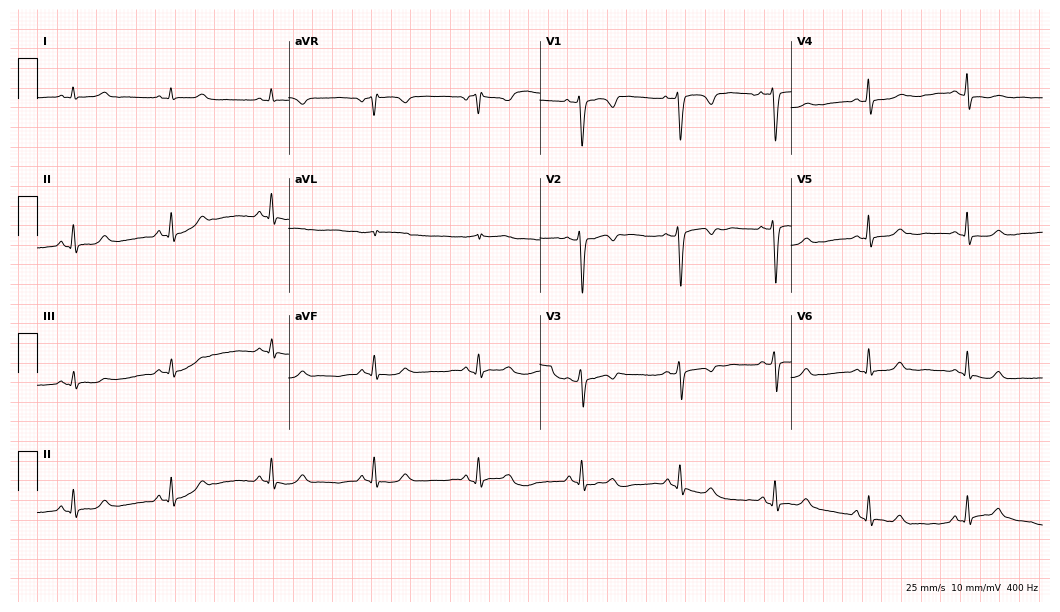
ECG (10.2-second recording at 400 Hz) — a woman, 69 years old. Screened for six findings — first-degree AV block, right bundle branch block (RBBB), left bundle branch block (LBBB), sinus bradycardia, atrial fibrillation (AF), sinus tachycardia — none is recorded.